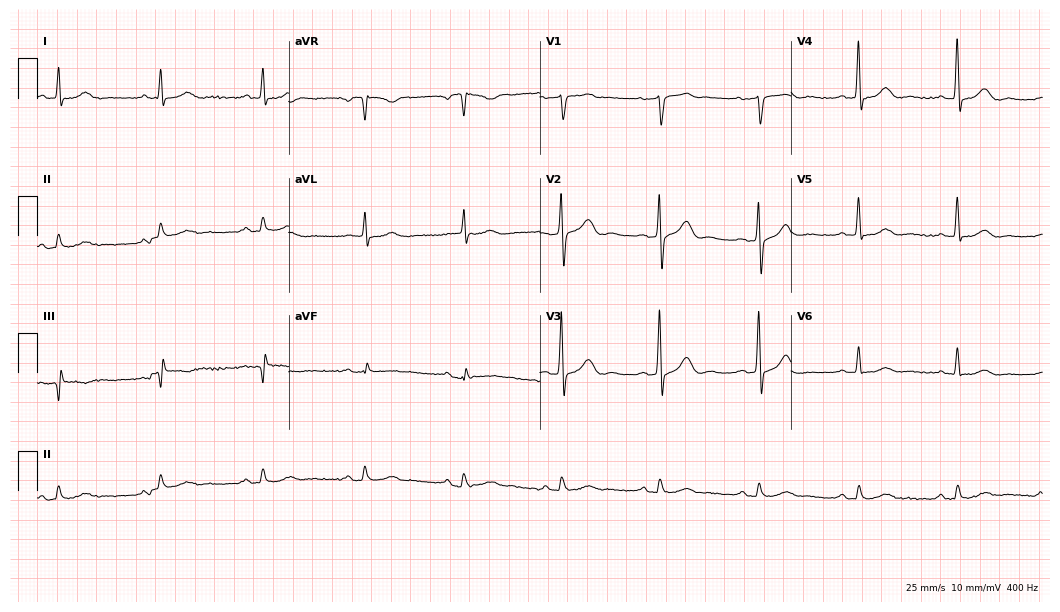
Standard 12-lead ECG recorded from a male patient, 65 years old (10.2-second recording at 400 Hz). Read as a normal ECG.